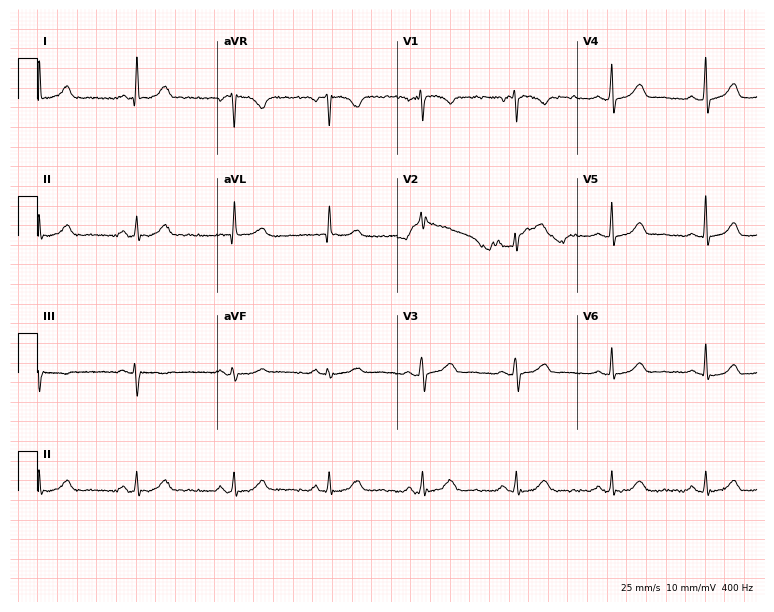
12-lead ECG from a female, 59 years old. Recorded interpretation: within normal limits.